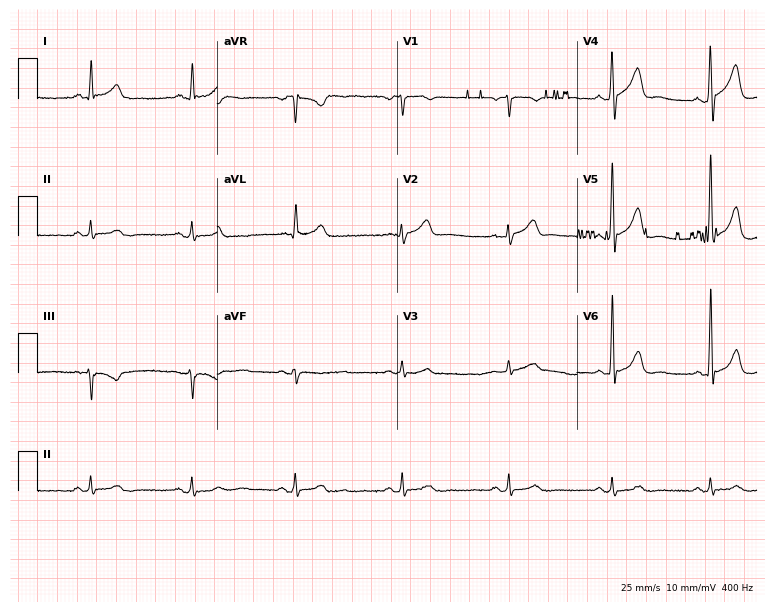
ECG (7.3-second recording at 400 Hz) — a 44-year-old man. Labelled as a normal ECG.